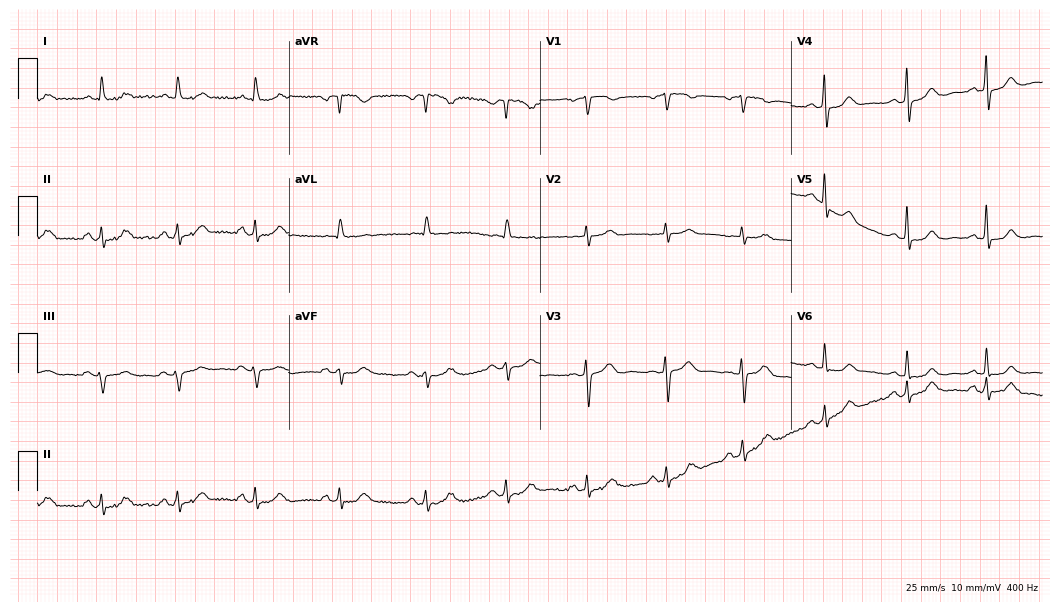
ECG — a woman, 51 years old. Labelled as a normal ECG.